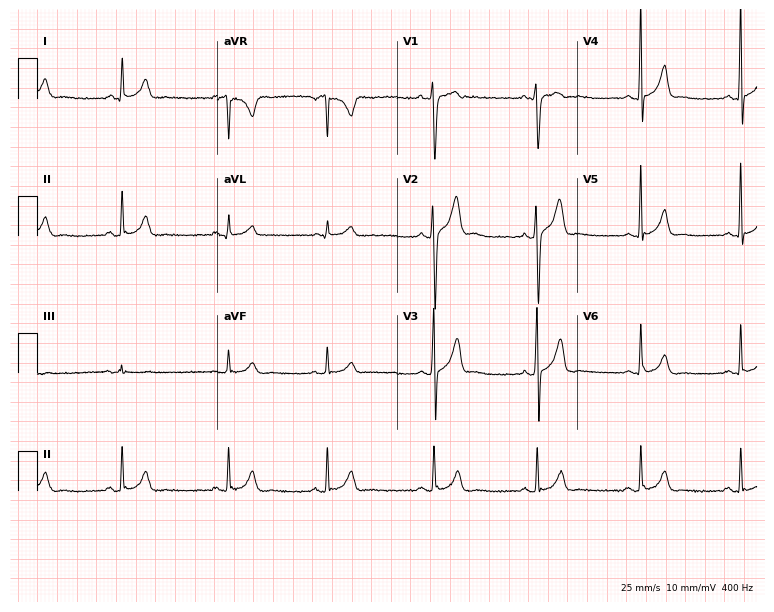
Electrocardiogram (7.3-second recording at 400 Hz), a male patient, 21 years old. Overall reading on record: normal ECG.